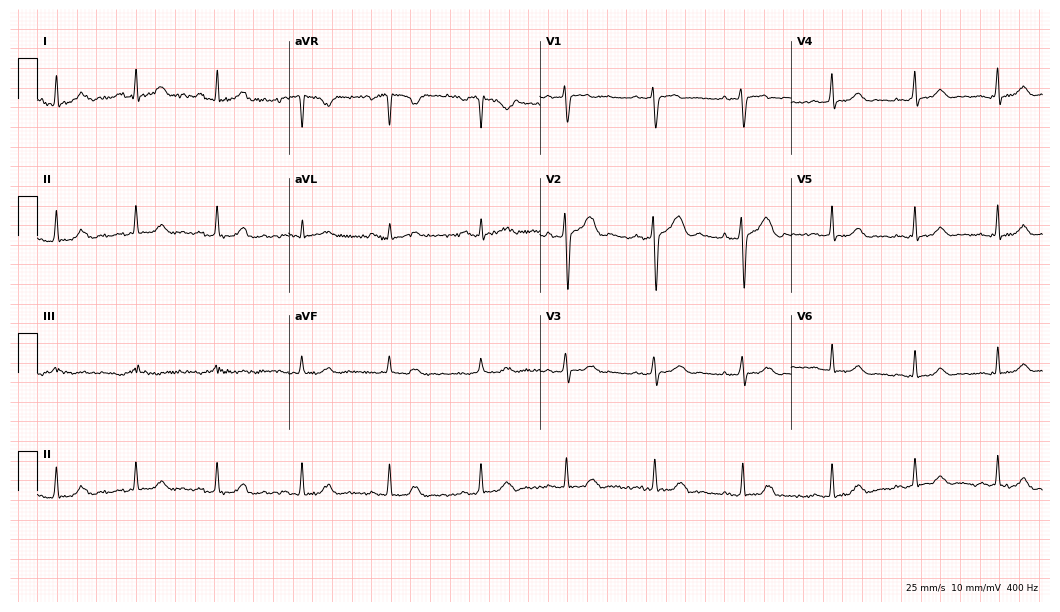
ECG — a 44-year-old female. Labelled as a normal ECG.